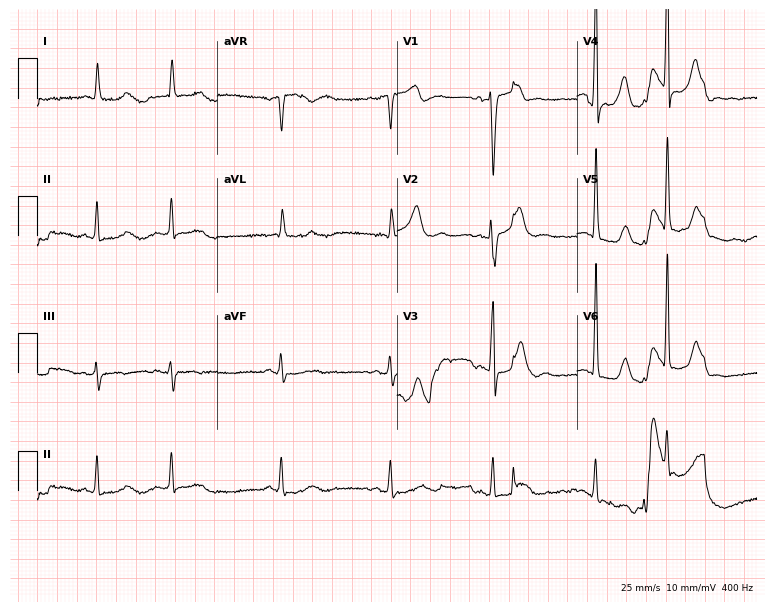
12-lead ECG from a man, 75 years old. Screened for six findings — first-degree AV block, right bundle branch block (RBBB), left bundle branch block (LBBB), sinus bradycardia, atrial fibrillation (AF), sinus tachycardia — none is recorded. Other findings, if any, are not listed.